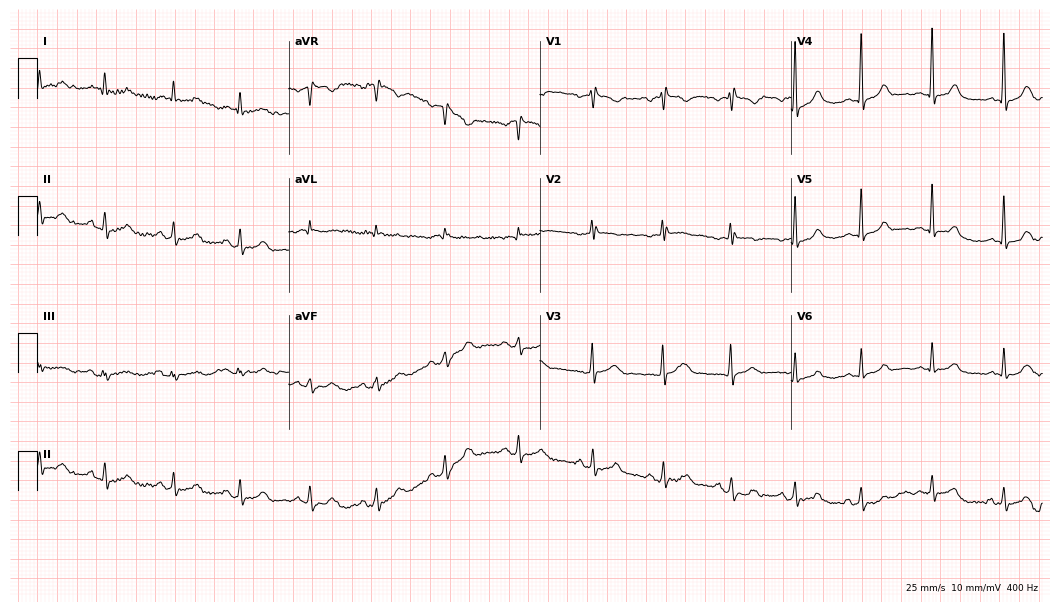
Electrocardiogram (10.2-second recording at 400 Hz), a 28-year-old female. Overall reading on record: normal ECG.